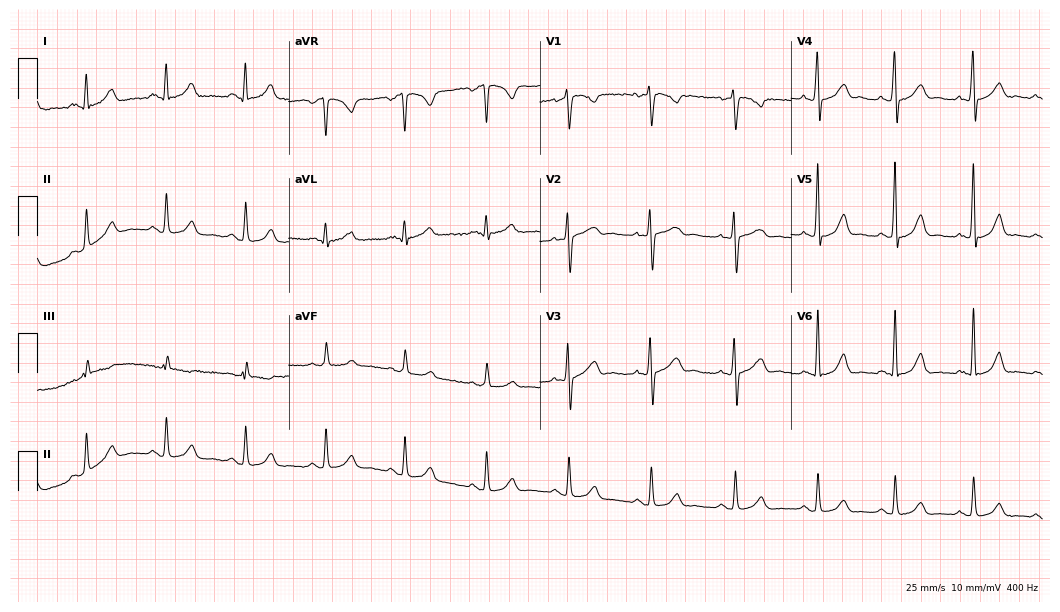
Standard 12-lead ECG recorded from a 35-year-old woman. Read as a normal ECG.